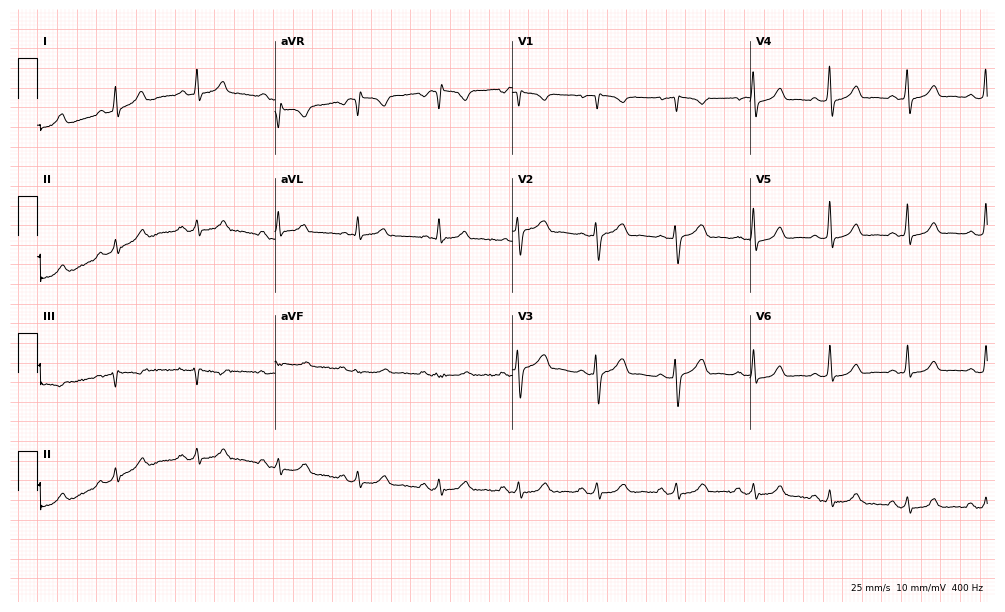
ECG — a female patient, 34 years old. Labelled as a normal ECG.